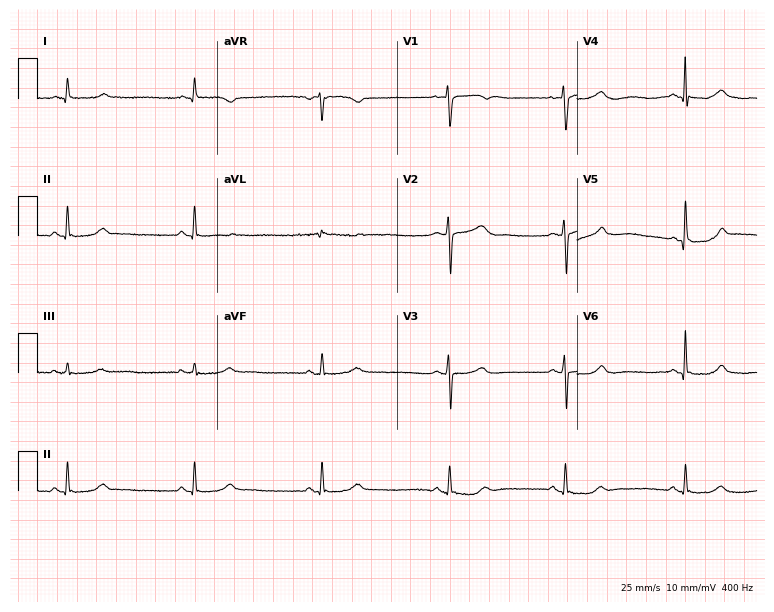
Electrocardiogram (7.3-second recording at 400 Hz), a 39-year-old woman. Of the six screened findings (first-degree AV block, right bundle branch block, left bundle branch block, sinus bradycardia, atrial fibrillation, sinus tachycardia), none is recorded.